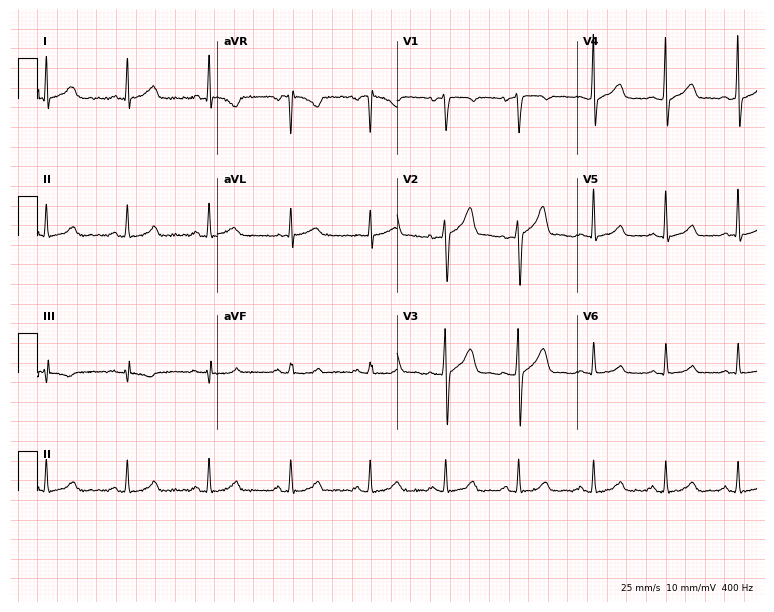
ECG — a 42-year-old man. Labelled as a normal ECG.